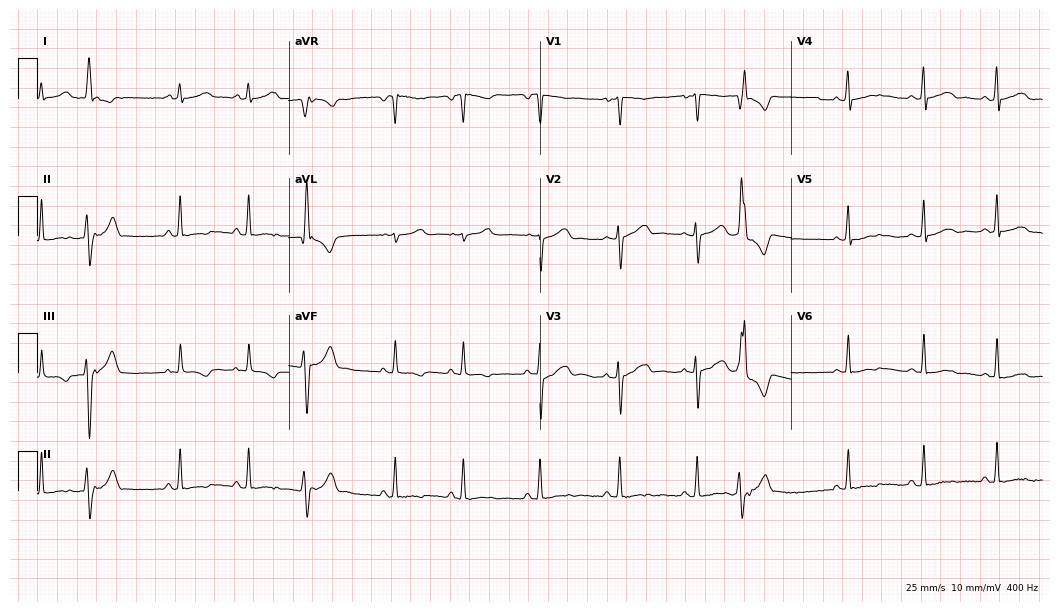
Electrocardiogram (10.2-second recording at 400 Hz), a 25-year-old female. Of the six screened findings (first-degree AV block, right bundle branch block, left bundle branch block, sinus bradycardia, atrial fibrillation, sinus tachycardia), none is recorded.